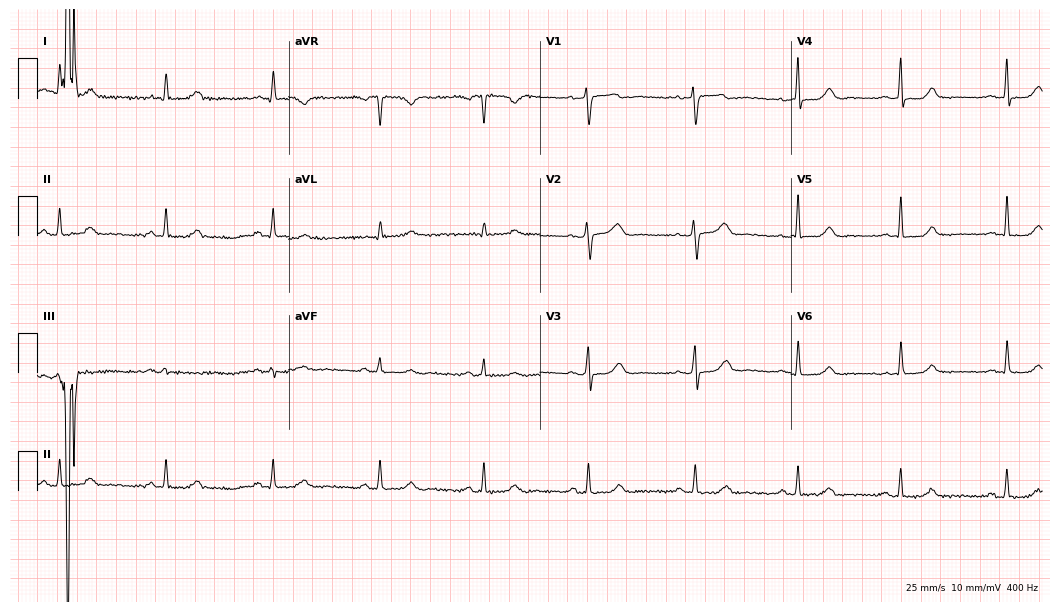
ECG (10.2-second recording at 400 Hz) — a female, 52 years old. Labelled as a normal ECG.